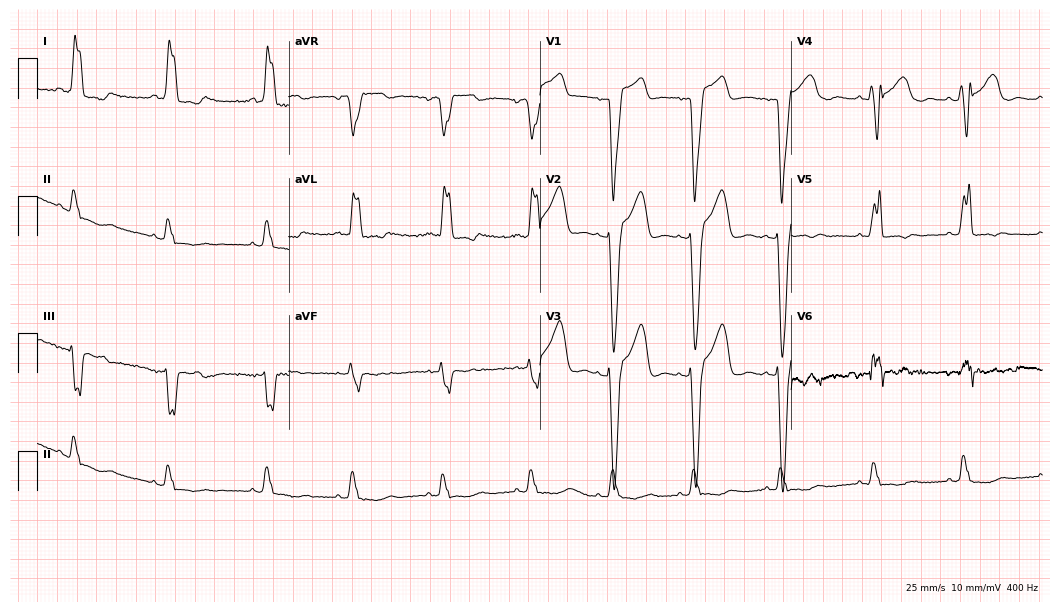
12-lead ECG from a 54-year-old female. Shows left bundle branch block.